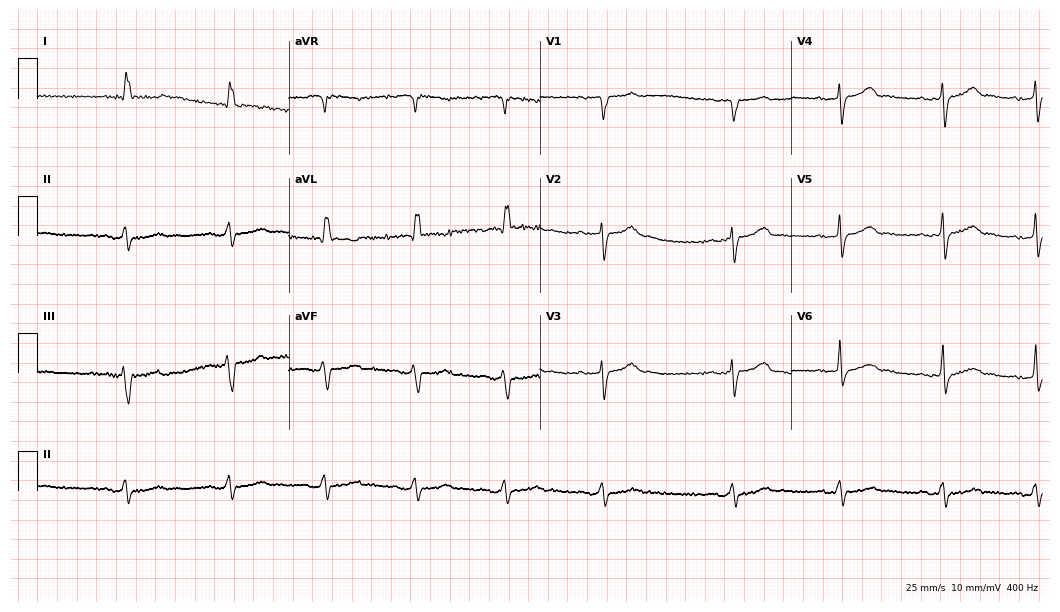
ECG (10.2-second recording at 400 Hz) — a female, 78 years old. Screened for six findings — first-degree AV block, right bundle branch block, left bundle branch block, sinus bradycardia, atrial fibrillation, sinus tachycardia — none is recorded. Only these six findings were labelled.